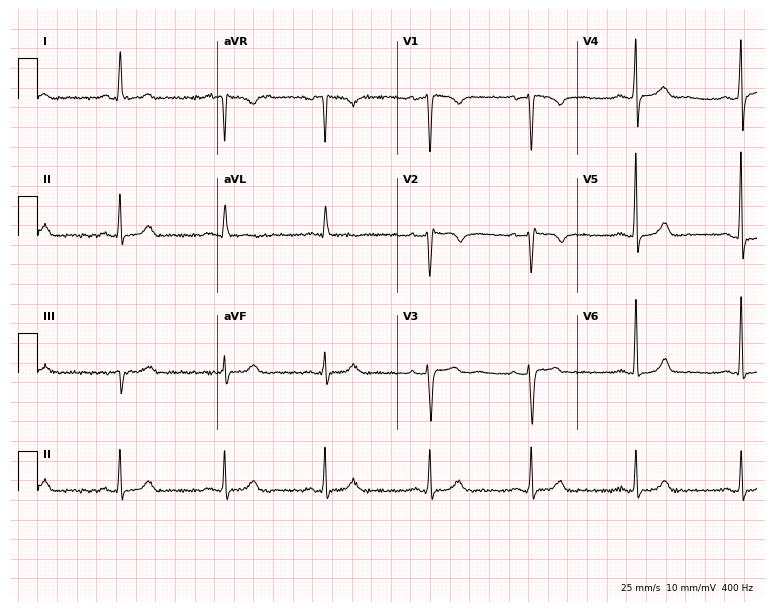
12-lead ECG (7.3-second recording at 400 Hz) from a 44-year-old woman. Screened for six findings — first-degree AV block, right bundle branch block, left bundle branch block, sinus bradycardia, atrial fibrillation, sinus tachycardia — none is recorded. Other findings, if any, are not listed.